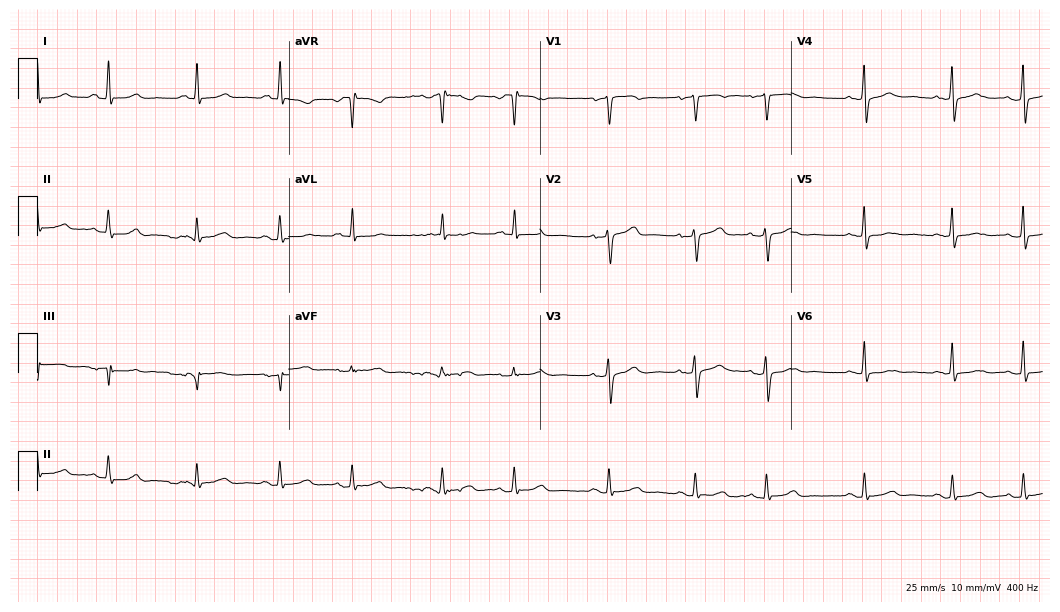
Resting 12-lead electrocardiogram. Patient: a female, 50 years old. None of these six findings is recorded: first-degree AV block, right bundle branch block, left bundle branch block, sinus bradycardia, atrial fibrillation, sinus tachycardia. Findings outside these six are not listed.